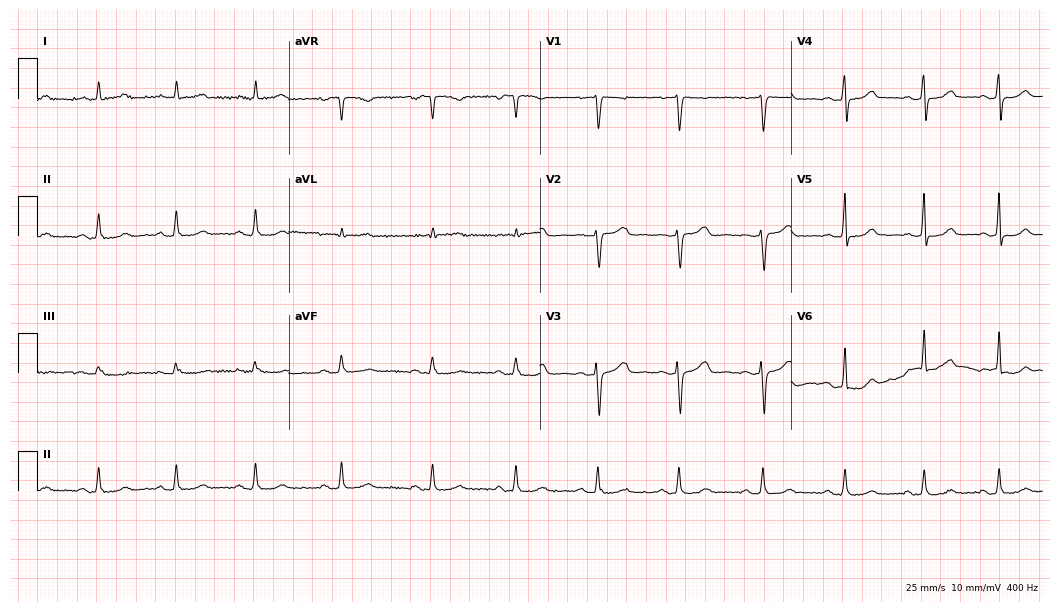
12-lead ECG (10.2-second recording at 400 Hz) from a 41-year-old woman. Labelled as a normal ECG.